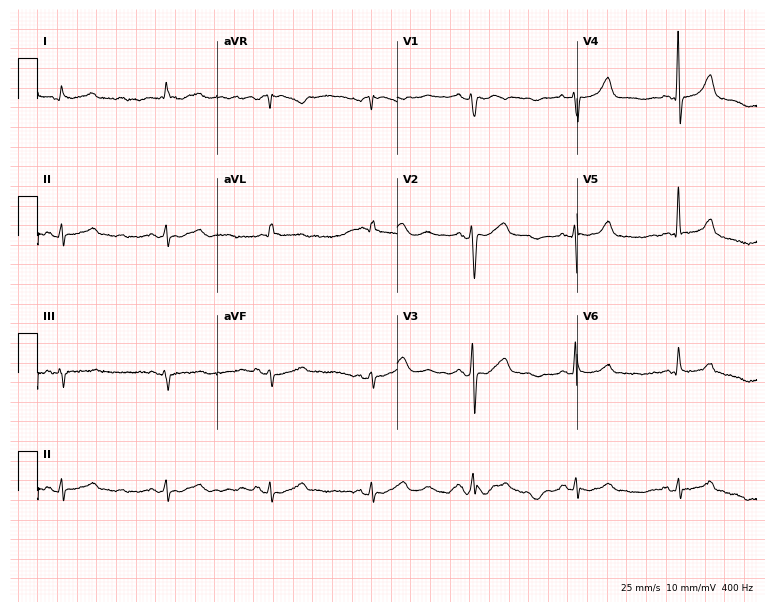
ECG — a female, 78 years old. Screened for six findings — first-degree AV block, right bundle branch block (RBBB), left bundle branch block (LBBB), sinus bradycardia, atrial fibrillation (AF), sinus tachycardia — none is recorded. Findings outside these six are not listed.